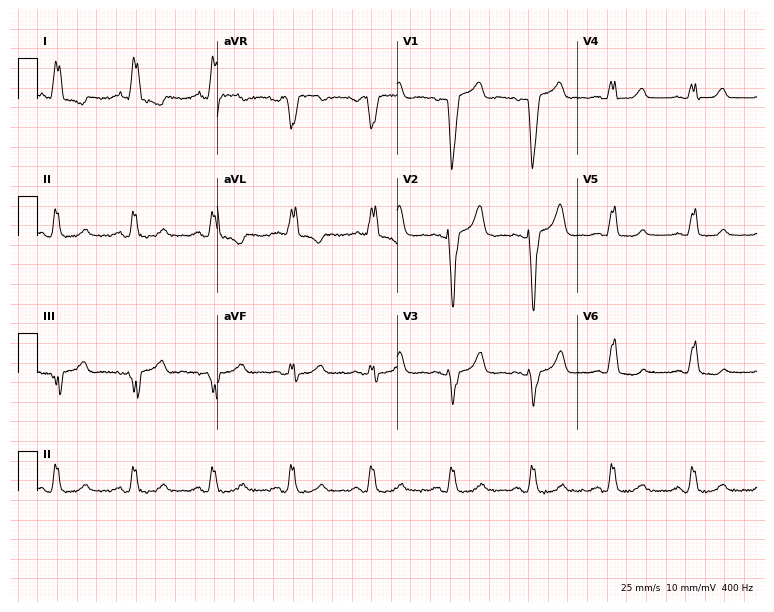
Resting 12-lead electrocardiogram (7.3-second recording at 400 Hz). Patient: a 53-year-old female. None of these six findings is recorded: first-degree AV block, right bundle branch block (RBBB), left bundle branch block (LBBB), sinus bradycardia, atrial fibrillation (AF), sinus tachycardia. Findings outside these six are not listed.